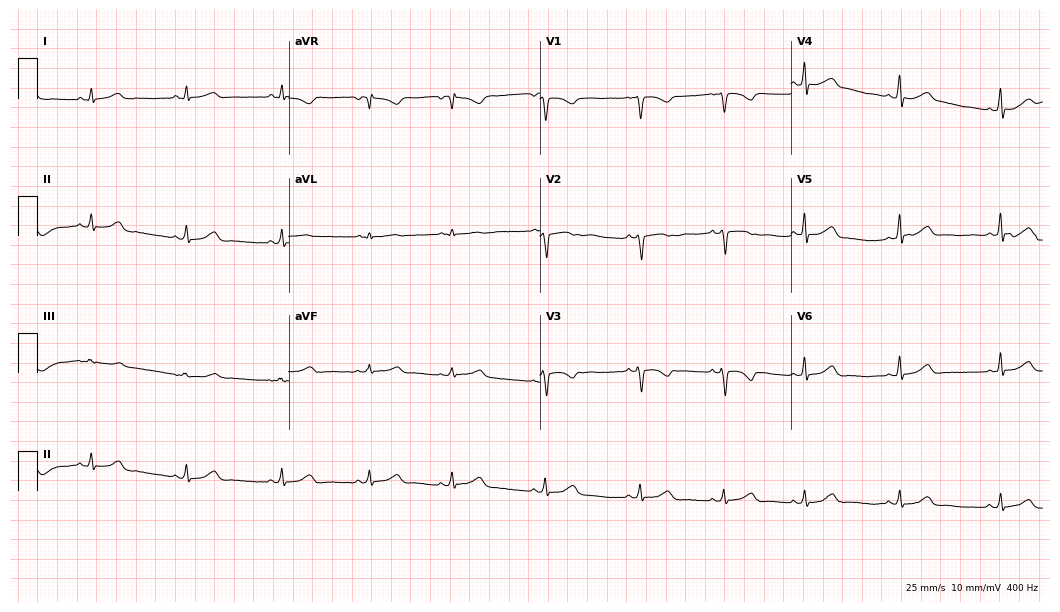
12-lead ECG from a female, 24 years old. Screened for six findings — first-degree AV block, right bundle branch block (RBBB), left bundle branch block (LBBB), sinus bradycardia, atrial fibrillation (AF), sinus tachycardia — none is recorded.